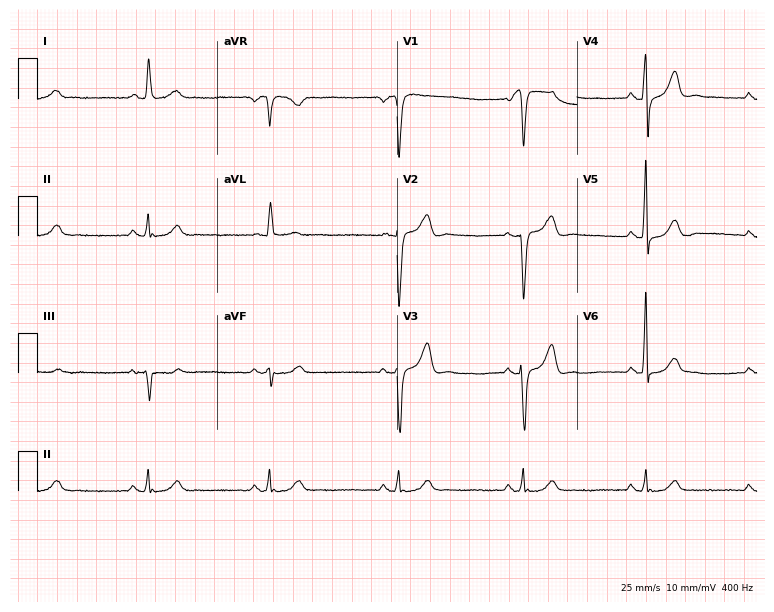
12-lead ECG from a 52-year-old male. No first-degree AV block, right bundle branch block (RBBB), left bundle branch block (LBBB), sinus bradycardia, atrial fibrillation (AF) or sinus tachycardia recorded for this tracing.